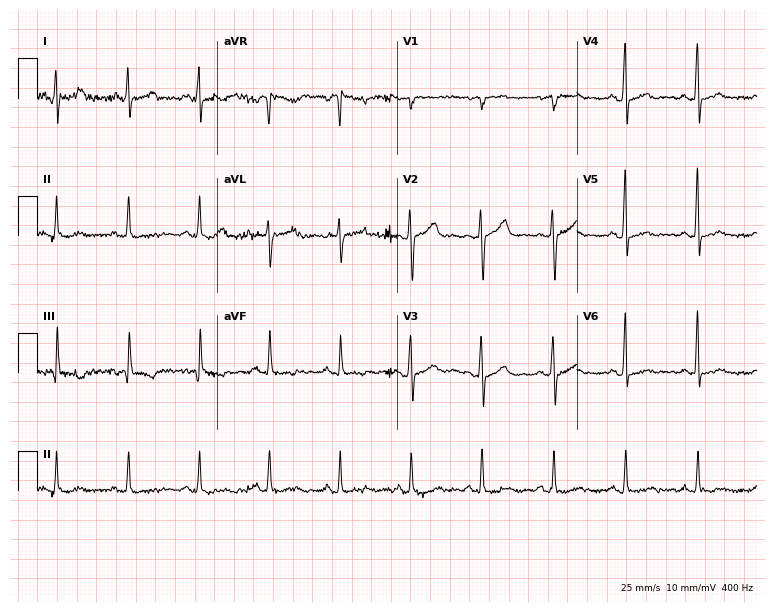
Standard 12-lead ECG recorded from a 54-year-old male (7.3-second recording at 400 Hz). Read as a normal ECG.